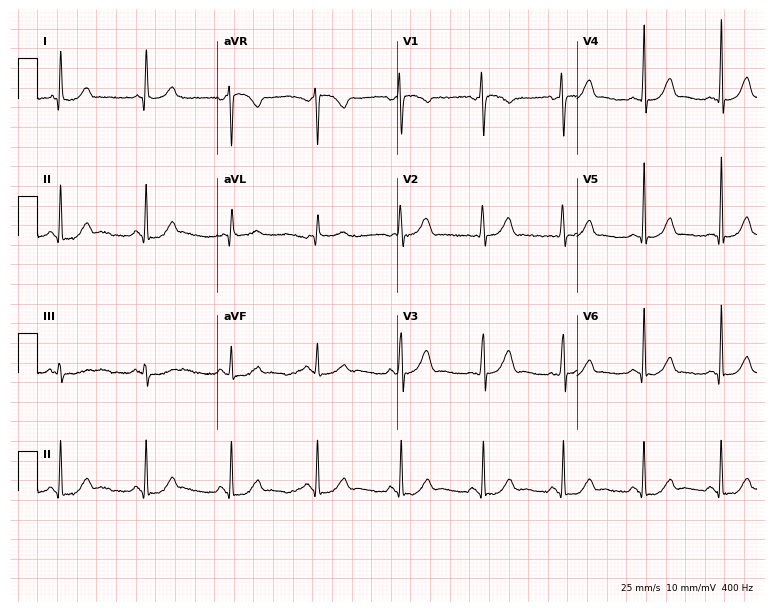
Resting 12-lead electrocardiogram. Patient: a female, 56 years old. Read as a normal ECG.